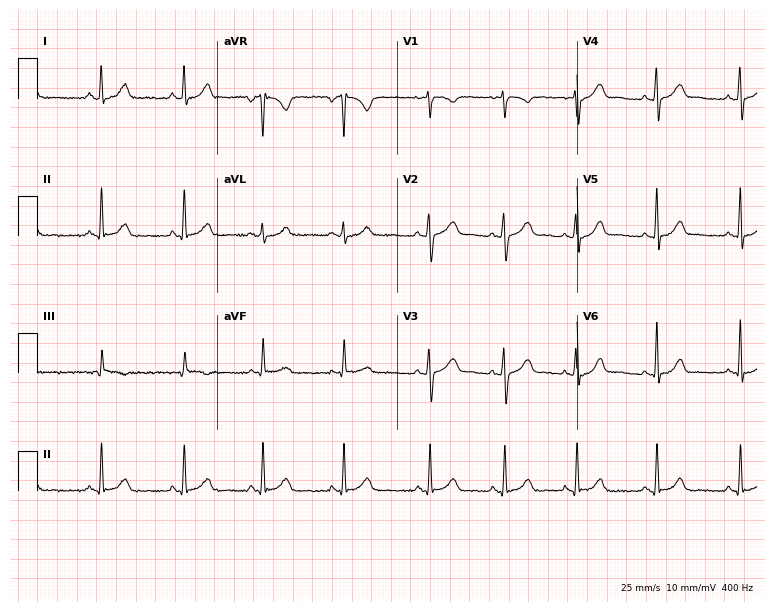
ECG (7.3-second recording at 400 Hz) — a 21-year-old female patient. Screened for six findings — first-degree AV block, right bundle branch block, left bundle branch block, sinus bradycardia, atrial fibrillation, sinus tachycardia — none is recorded. Other findings, if any, are not listed.